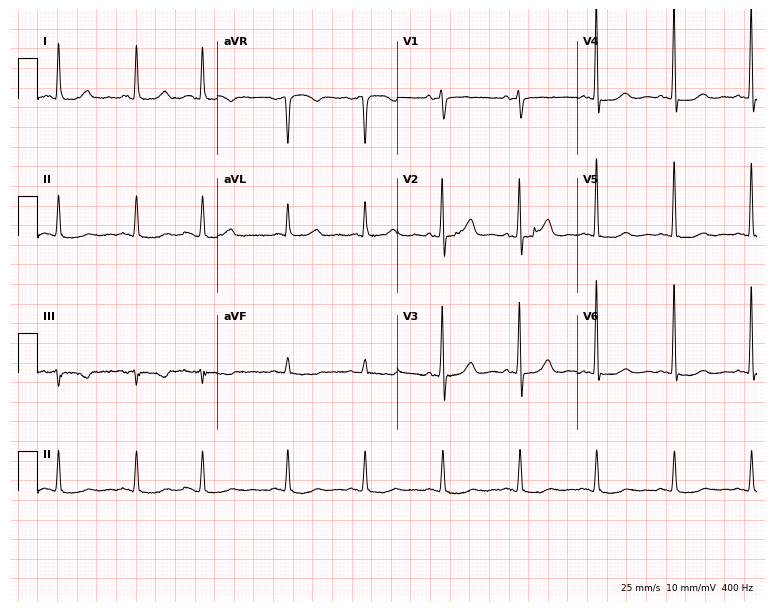
ECG (7.3-second recording at 400 Hz) — a 78-year-old female patient. Screened for six findings — first-degree AV block, right bundle branch block (RBBB), left bundle branch block (LBBB), sinus bradycardia, atrial fibrillation (AF), sinus tachycardia — none is recorded. Other findings, if any, are not listed.